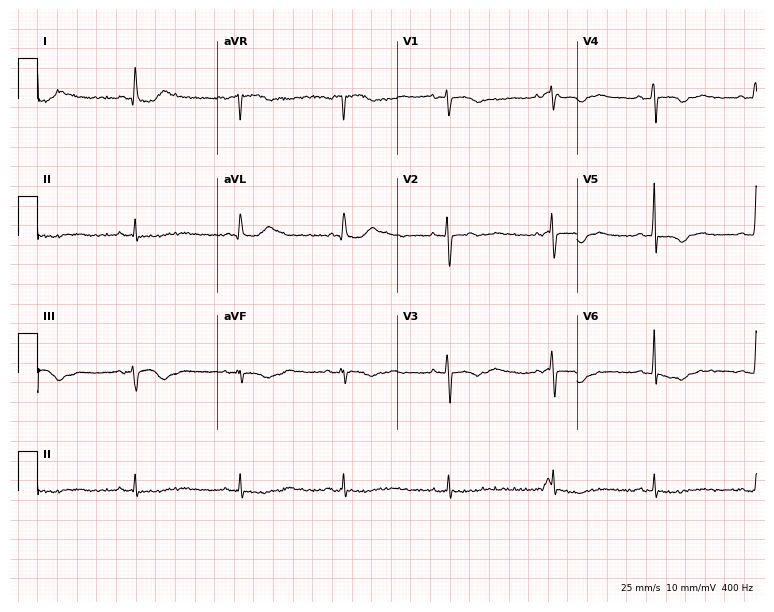
Electrocardiogram, a female patient, 80 years old. Overall reading on record: normal ECG.